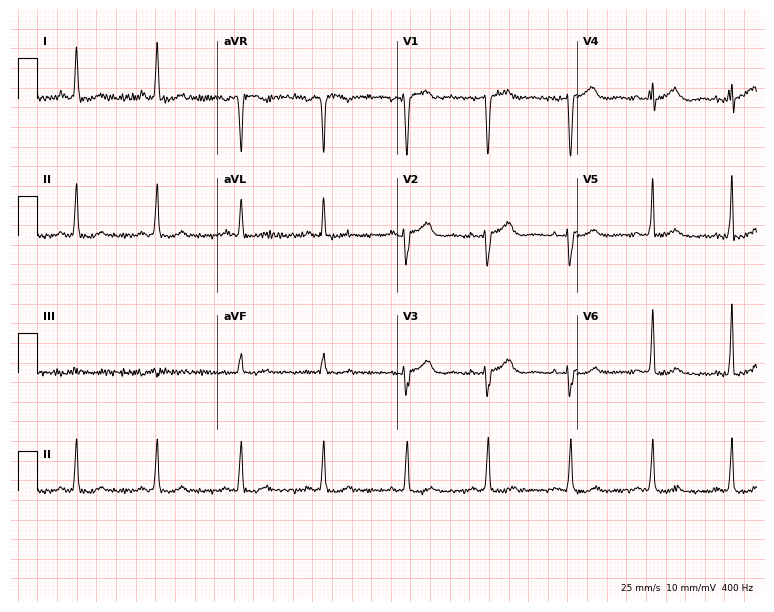
Electrocardiogram, a 55-year-old female. Of the six screened findings (first-degree AV block, right bundle branch block (RBBB), left bundle branch block (LBBB), sinus bradycardia, atrial fibrillation (AF), sinus tachycardia), none is recorded. Findings outside these six are not listed.